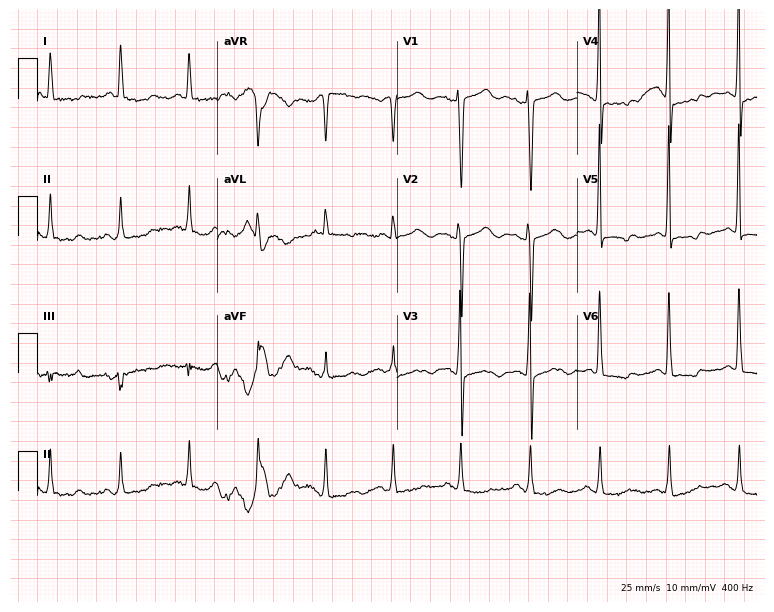
Resting 12-lead electrocardiogram (7.3-second recording at 400 Hz). Patient: a female, 74 years old. None of these six findings is recorded: first-degree AV block, right bundle branch block (RBBB), left bundle branch block (LBBB), sinus bradycardia, atrial fibrillation (AF), sinus tachycardia.